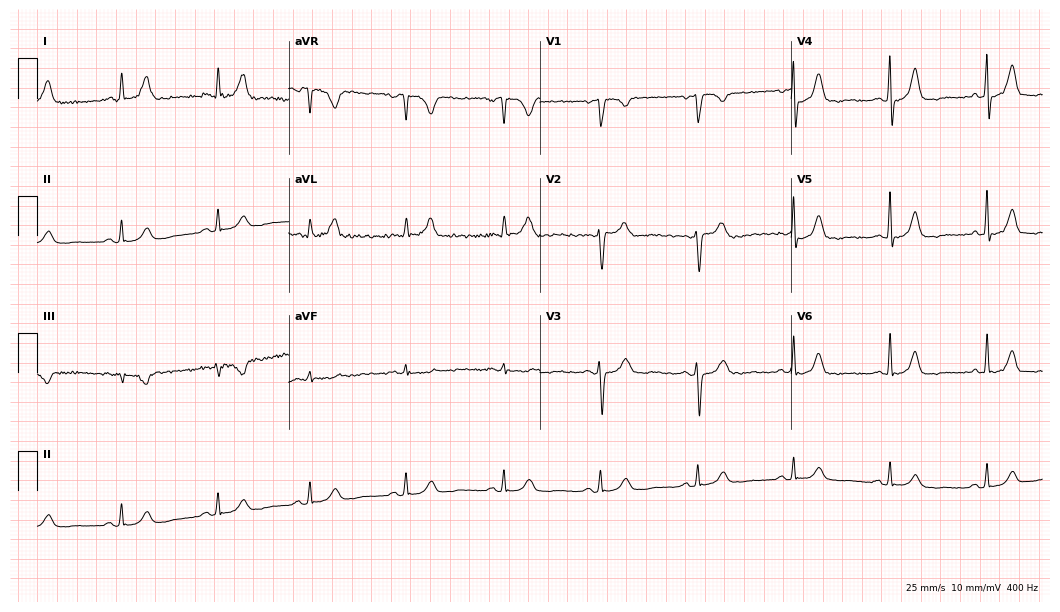
Resting 12-lead electrocardiogram (10.2-second recording at 400 Hz). Patient: a female, 74 years old. Read as a normal ECG.